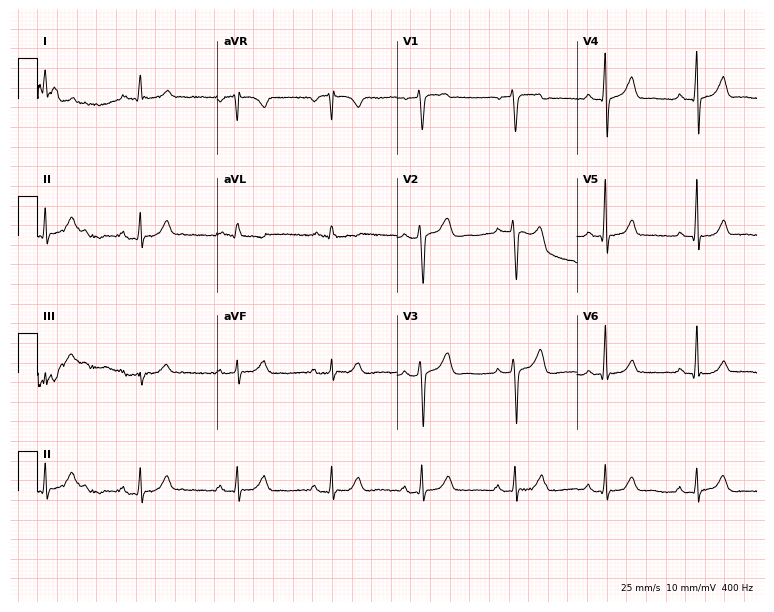
12-lead ECG from a man, 59 years old. Labelled as a normal ECG.